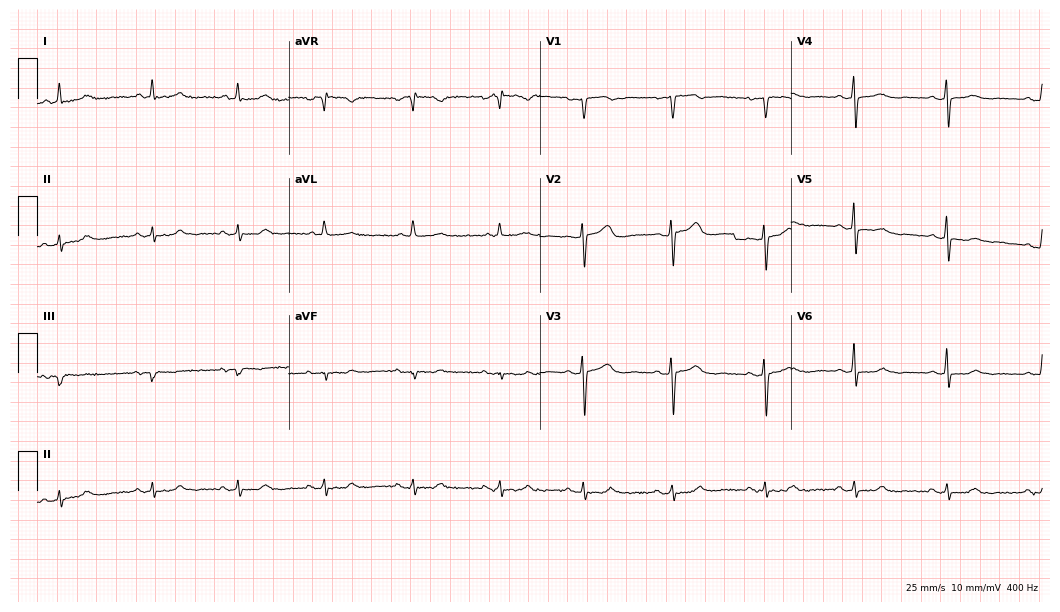
Standard 12-lead ECG recorded from a woman, 41 years old (10.2-second recording at 400 Hz). Read as a normal ECG.